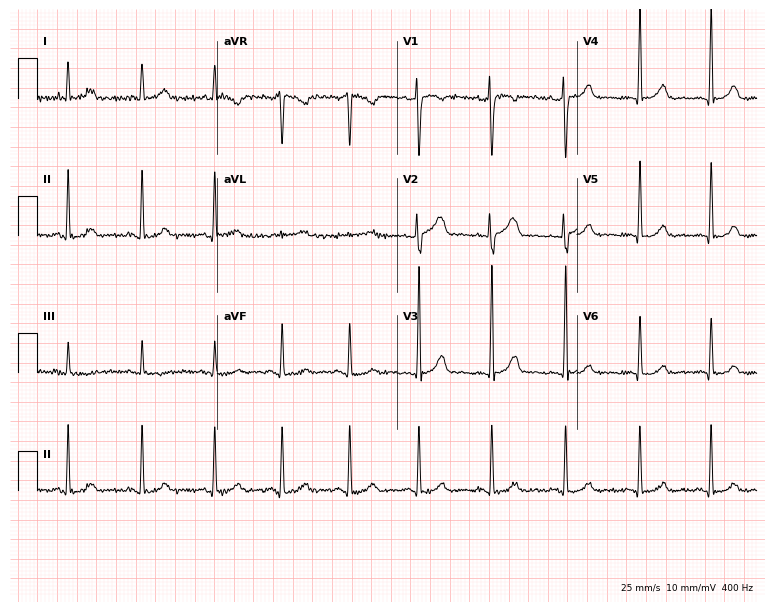
12-lead ECG from a 38-year-old female patient. Labelled as a normal ECG.